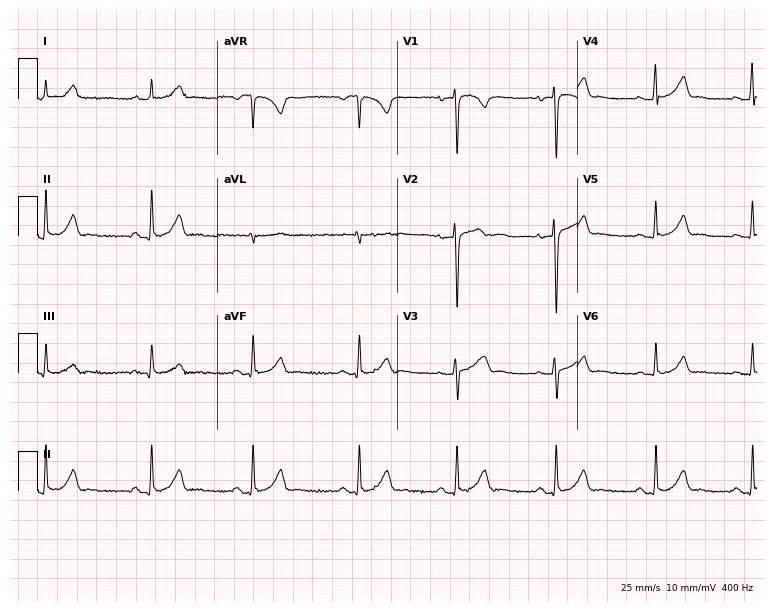
12-lead ECG from a female, 26 years old (7.3-second recording at 400 Hz). Recorded interpretation: within normal limits.